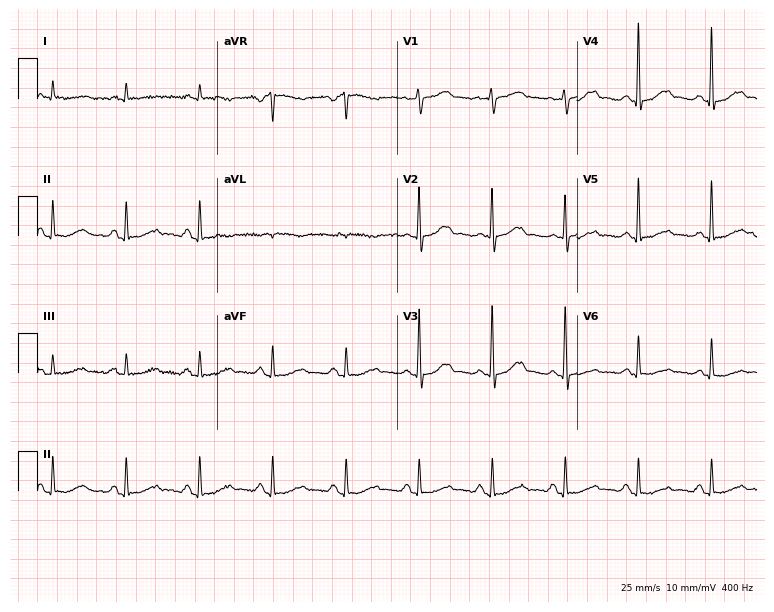
Electrocardiogram (7.3-second recording at 400 Hz), an 82-year-old woman. Overall reading on record: normal ECG.